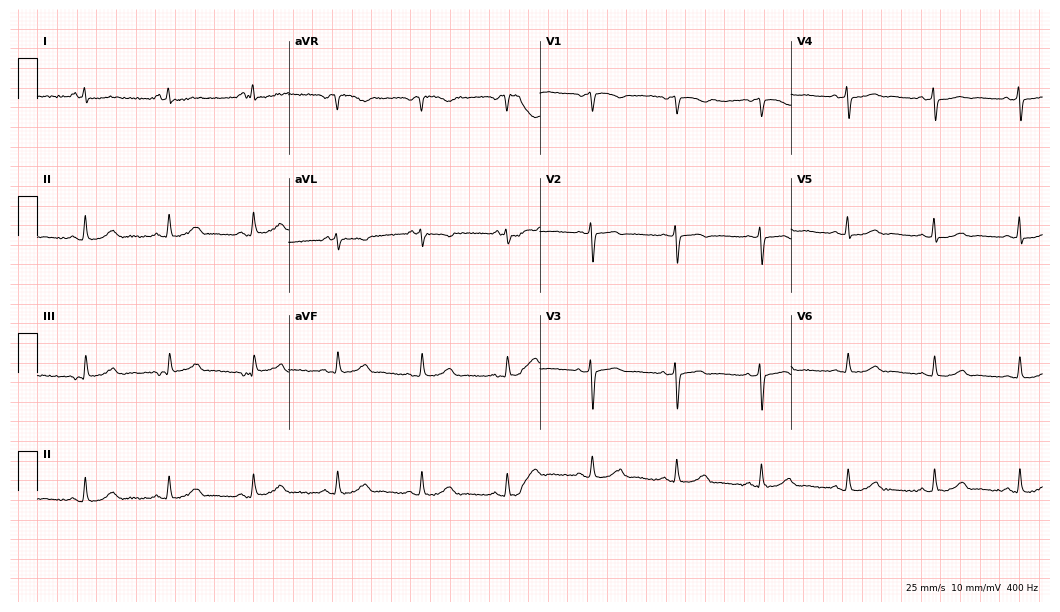
ECG (10.2-second recording at 400 Hz) — a 67-year-old female. Labelled as a normal ECG.